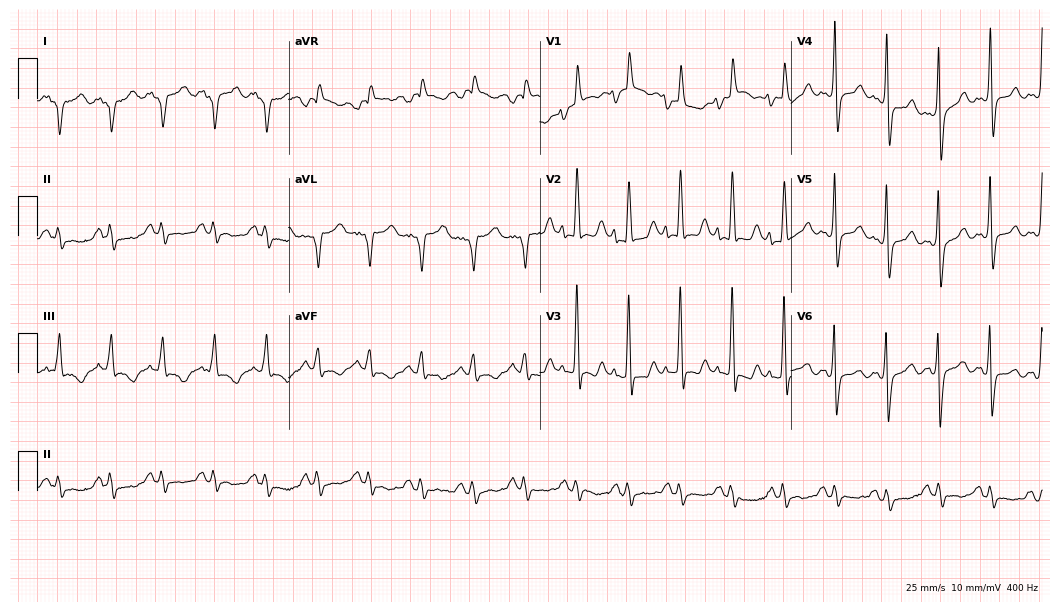
12-lead ECG from a 17-year-old female. Shows sinus tachycardia (a sinus rate of 100 beats per minute or more).